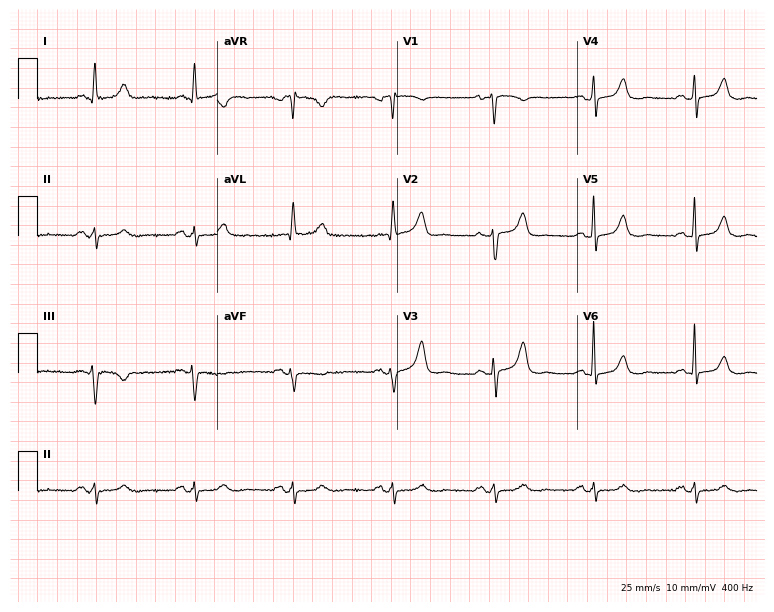
12-lead ECG from an 85-year-old woman (7.3-second recording at 400 Hz). No first-degree AV block, right bundle branch block, left bundle branch block, sinus bradycardia, atrial fibrillation or sinus tachycardia recorded for this tracing.